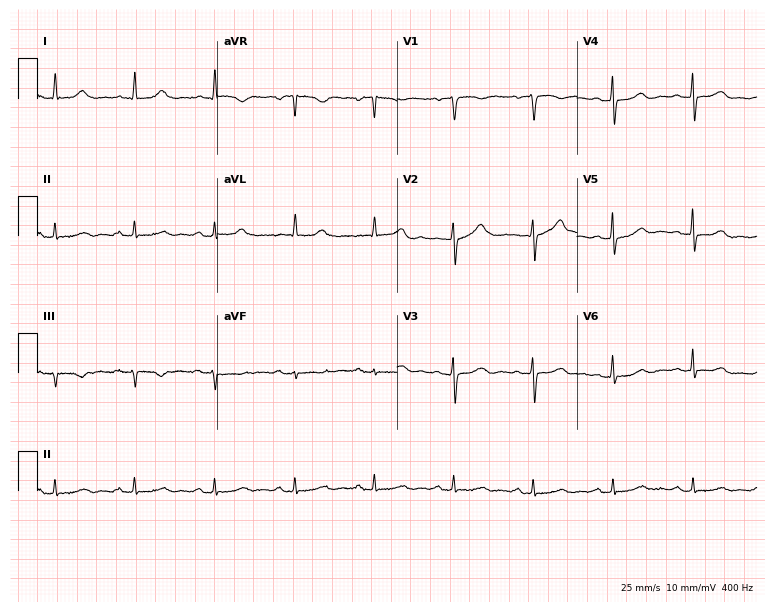
Resting 12-lead electrocardiogram. Patient: a female, 61 years old. None of these six findings is recorded: first-degree AV block, right bundle branch block, left bundle branch block, sinus bradycardia, atrial fibrillation, sinus tachycardia.